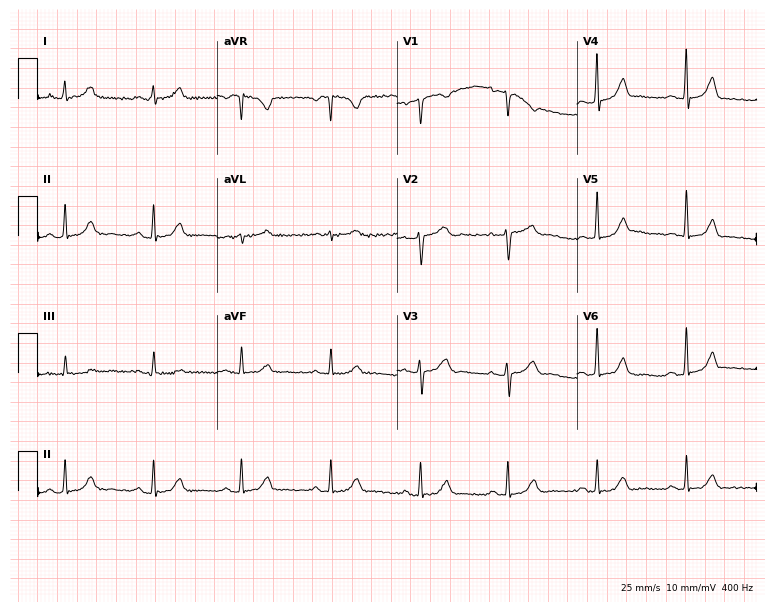
Standard 12-lead ECG recorded from a 57-year-old woman (7.3-second recording at 400 Hz). None of these six findings is recorded: first-degree AV block, right bundle branch block, left bundle branch block, sinus bradycardia, atrial fibrillation, sinus tachycardia.